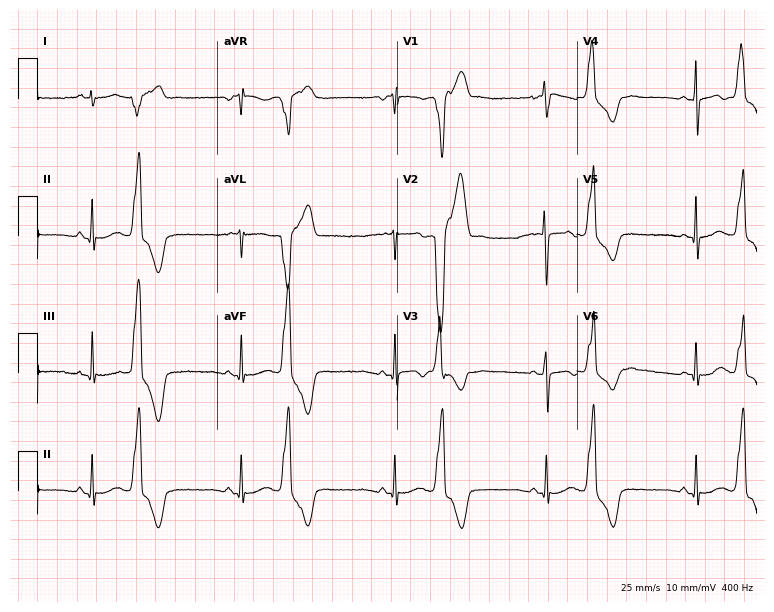
12-lead ECG from a 19-year-old female. No first-degree AV block, right bundle branch block (RBBB), left bundle branch block (LBBB), sinus bradycardia, atrial fibrillation (AF) or sinus tachycardia recorded for this tracing. Only these six findings were labelled.